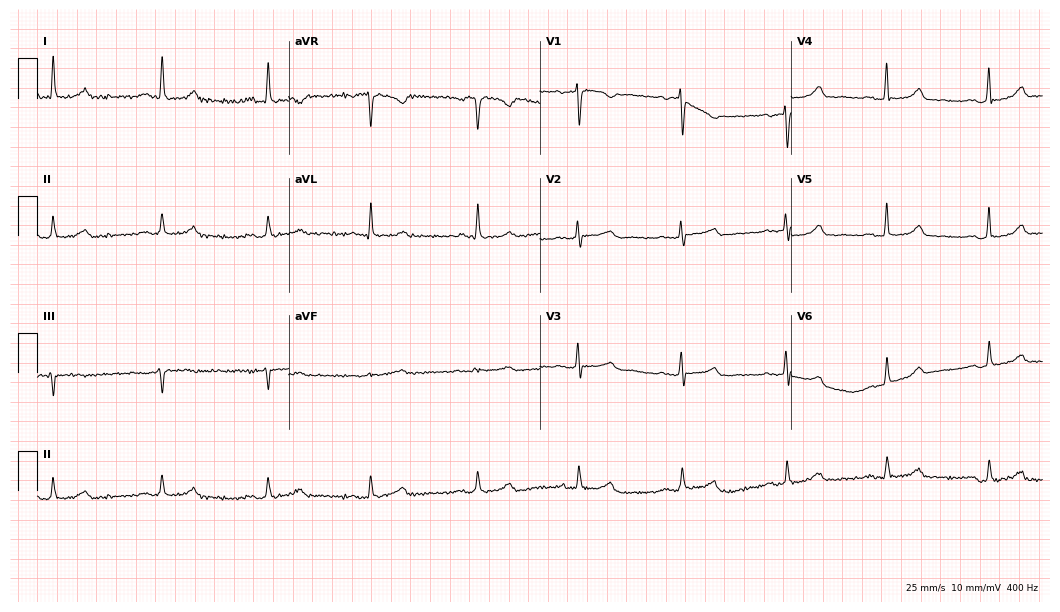
12-lead ECG from a 57-year-old woman. Labelled as a normal ECG.